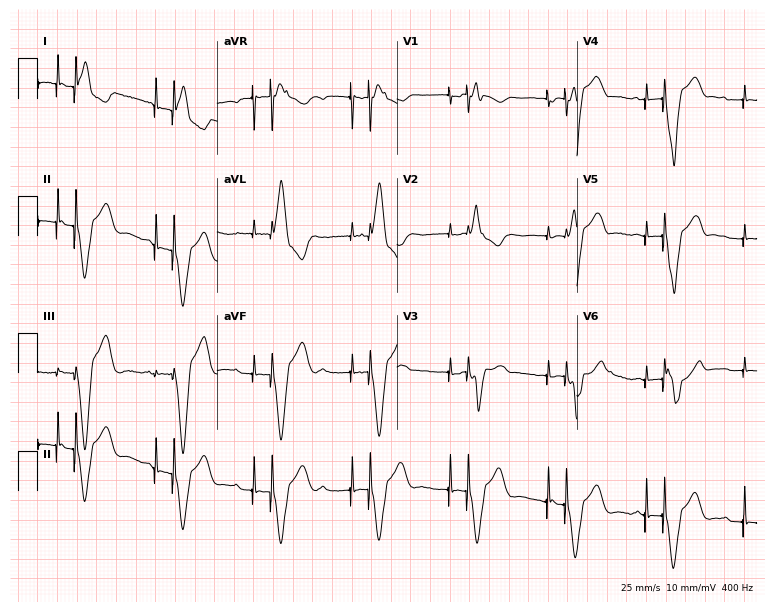
Standard 12-lead ECG recorded from a female patient, 82 years old. None of these six findings is recorded: first-degree AV block, right bundle branch block, left bundle branch block, sinus bradycardia, atrial fibrillation, sinus tachycardia. Only these six findings were labelled.